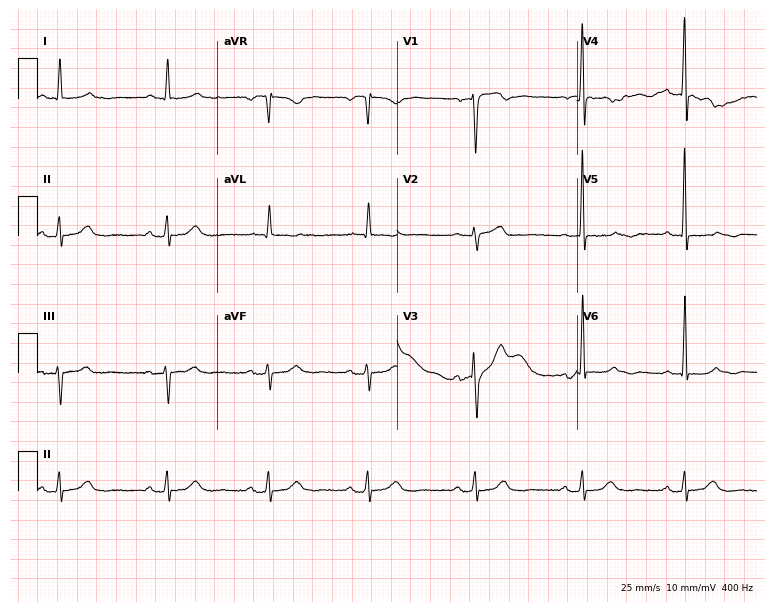
Resting 12-lead electrocardiogram. Patient: a male, 34 years old. Read as a normal ECG.